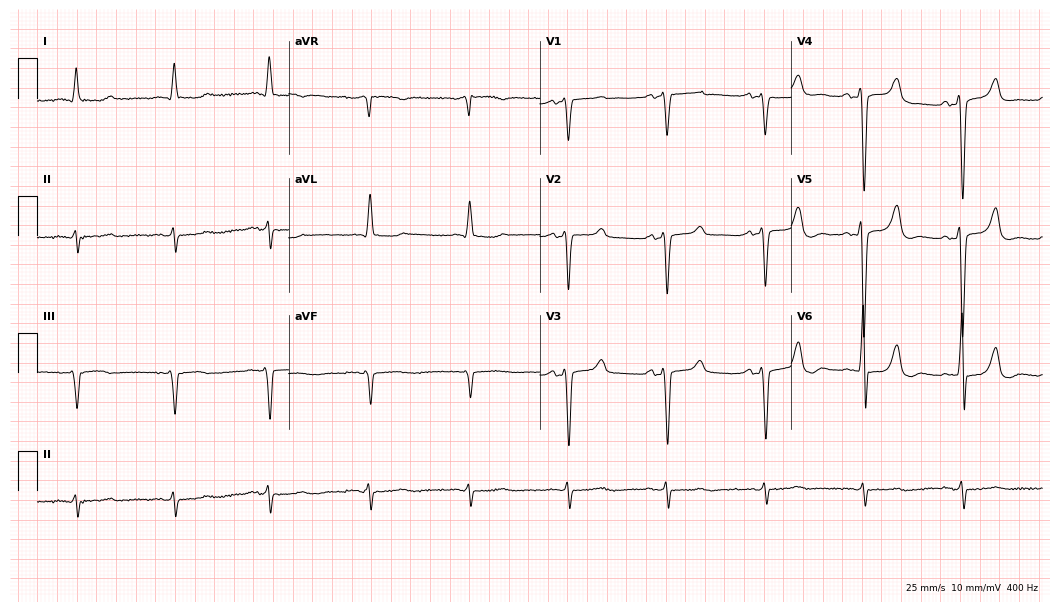
Standard 12-lead ECG recorded from a female patient, 74 years old (10.2-second recording at 400 Hz). None of these six findings is recorded: first-degree AV block, right bundle branch block, left bundle branch block, sinus bradycardia, atrial fibrillation, sinus tachycardia.